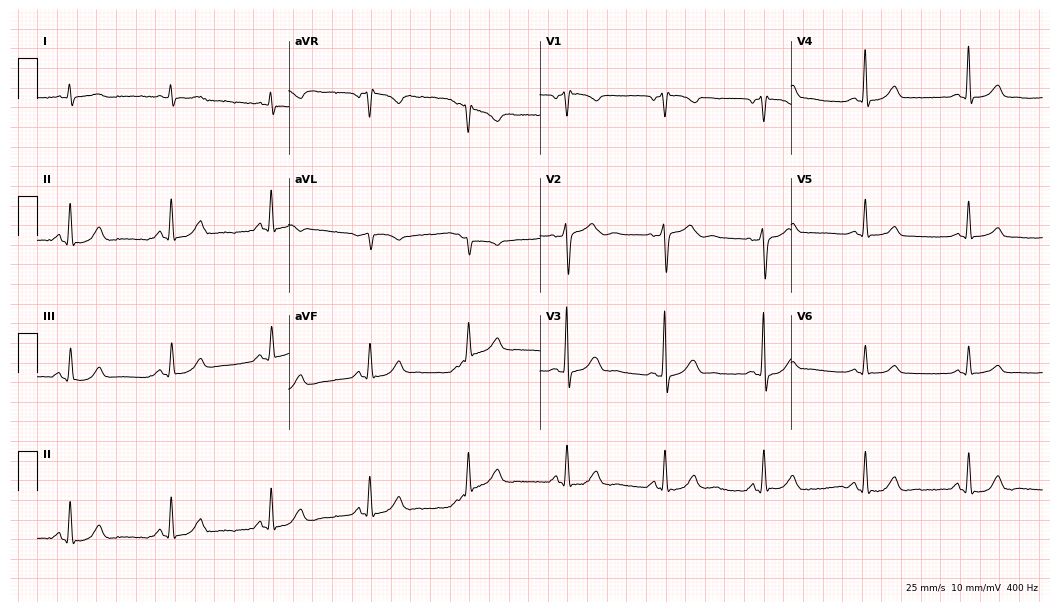
12-lead ECG from a male patient, 61 years old (10.2-second recording at 400 Hz). No first-degree AV block, right bundle branch block, left bundle branch block, sinus bradycardia, atrial fibrillation or sinus tachycardia recorded for this tracing. Other findings, if any, are not listed.